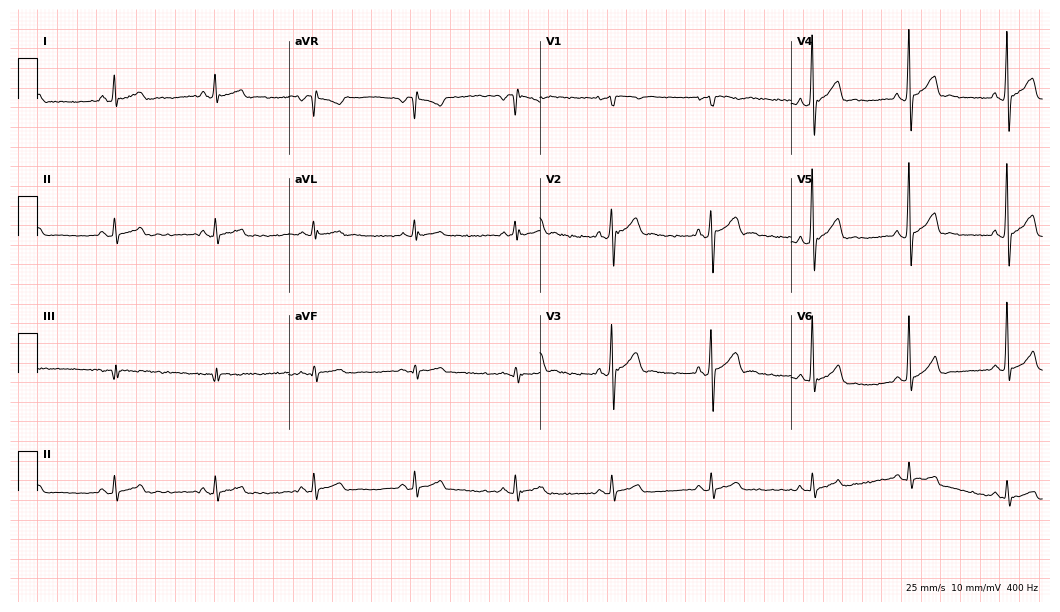
12-lead ECG from a male, 32 years old. Labelled as a normal ECG.